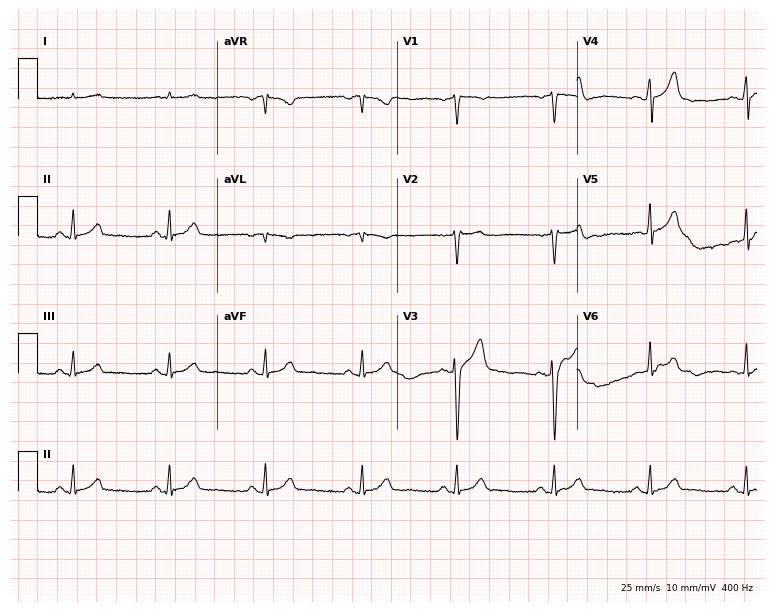
Resting 12-lead electrocardiogram. Patient: a male, 61 years old. Read as a normal ECG.